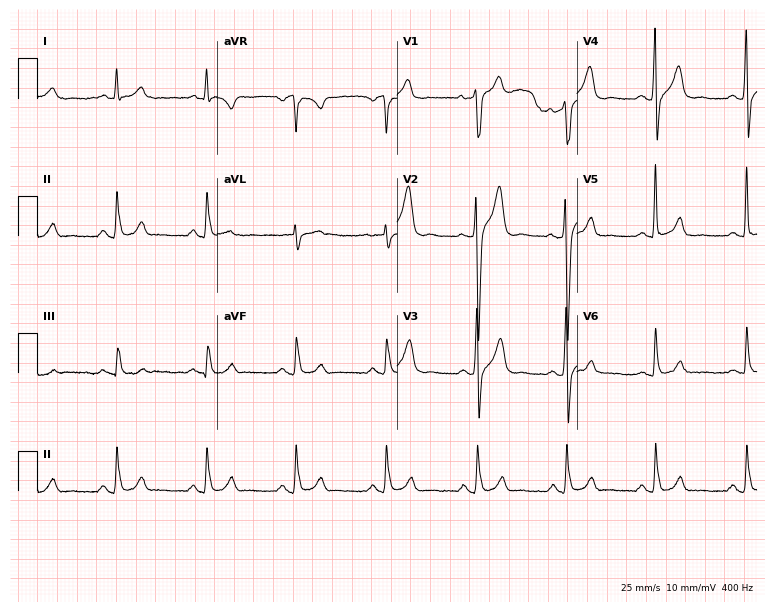
Resting 12-lead electrocardiogram (7.3-second recording at 400 Hz). Patient: a 48-year-old male. None of these six findings is recorded: first-degree AV block, right bundle branch block (RBBB), left bundle branch block (LBBB), sinus bradycardia, atrial fibrillation (AF), sinus tachycardia. Only these six findings were labelled.